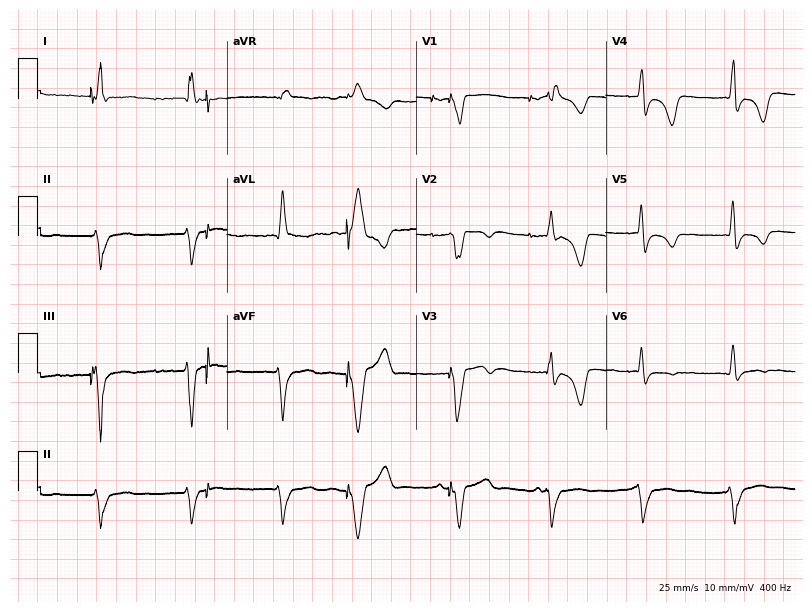
12-lead ECG from a 45-year-old woman. Screened for six findings — first-degree AV block, right bundle branch block (RBBB), left bundle branch block (LBBB), sinus bradycardia, atrial fibrillation (AF), sinus tachycardia — none is recorded. Other findings, if any, are not listed.